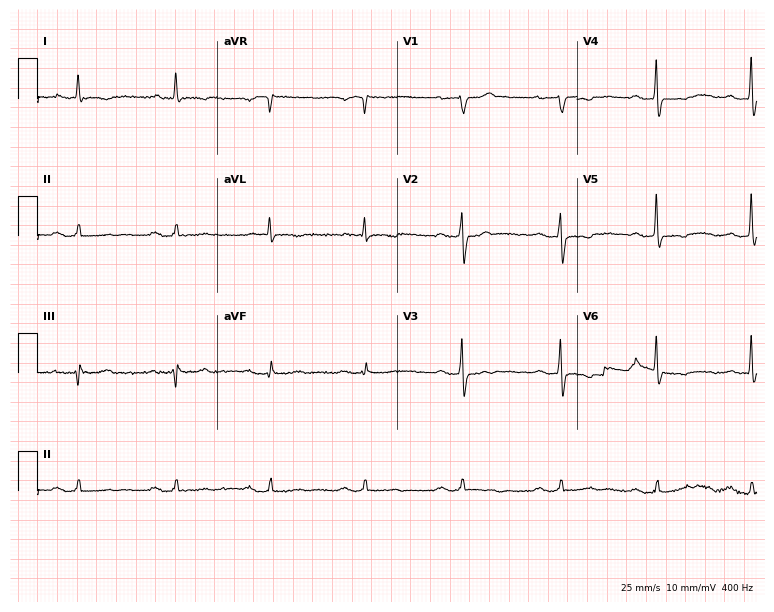
Resting 12-lead electrocardiogram. Patient: a 66-year-old male. The tracing shows first-degree AV block.